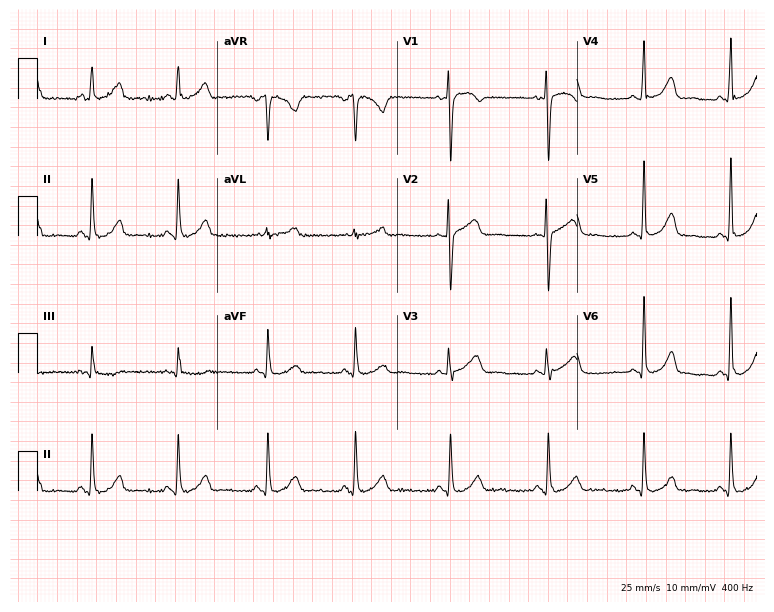
12-lead ECG (7.3-second recording at 400 Hz) from a 19-year-old female patient. Labelled as a normal ECG.